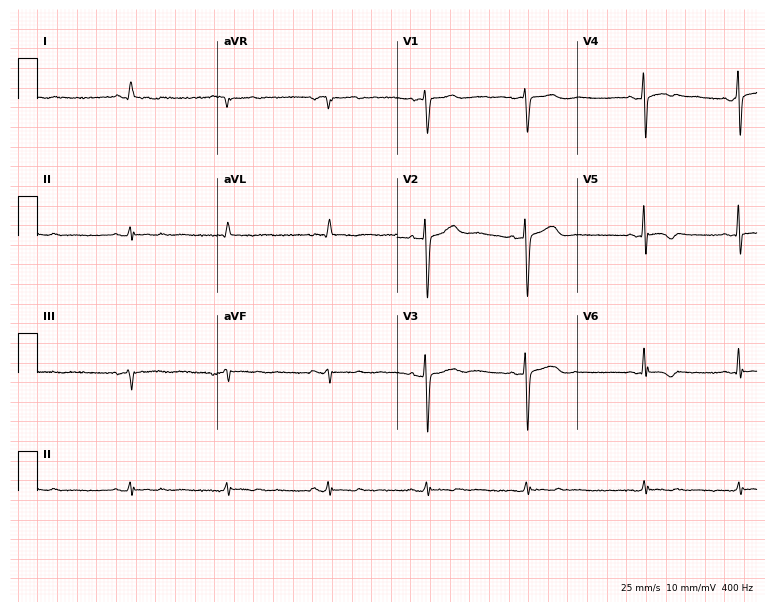
12-lead ECG (7.3-second recording at 400 Hz) from a 68-year-old female patient. Screened for six findings — first-degree AV block, right bundle branch block (RBBB), left bundle branch block (LBBB), sinus bradycardia, atrial fibrillation (AF), sinus tachycardia — none is recorded. Only these six findings were labelled.